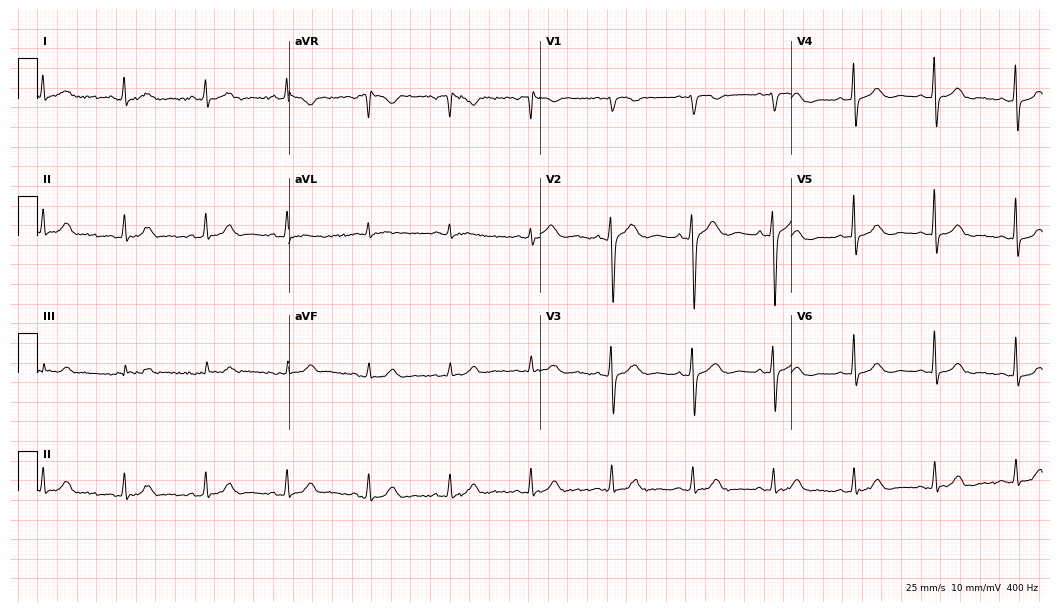
ECG — a 74-year-old woman. Screened for six findings — first-degree AV block, right bundle branch block (RBBB), left bundle branch block (LBBB), sinus bradycardia, atrial fibrillation (AF), sinus tachycardia — none is recorded. Findings outside these six are not listed.